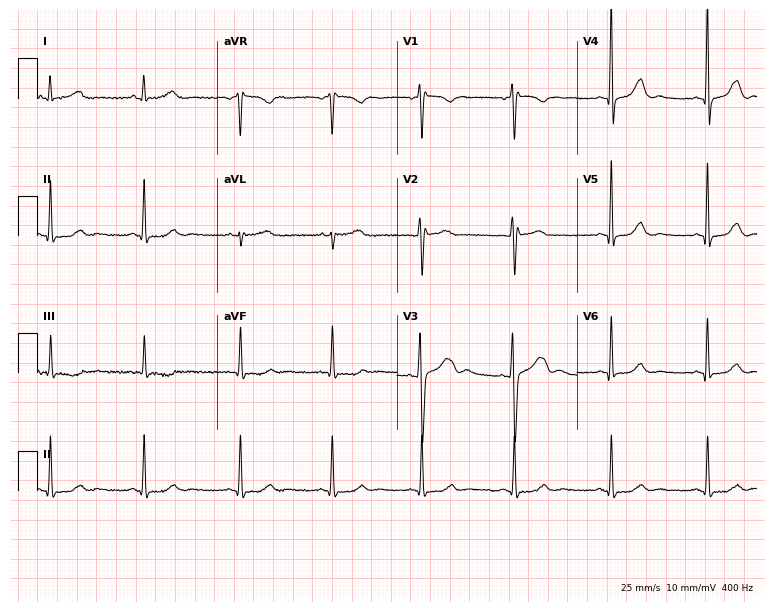
ECG — a 40-year-old female. Screened for six findings — first-degree AV block, right bundle branch block (RBBB), left bundle branch block (LBBB), sinus bradycardia, atrial fibrillation (AF), sinus tachycardia — none is recorded.